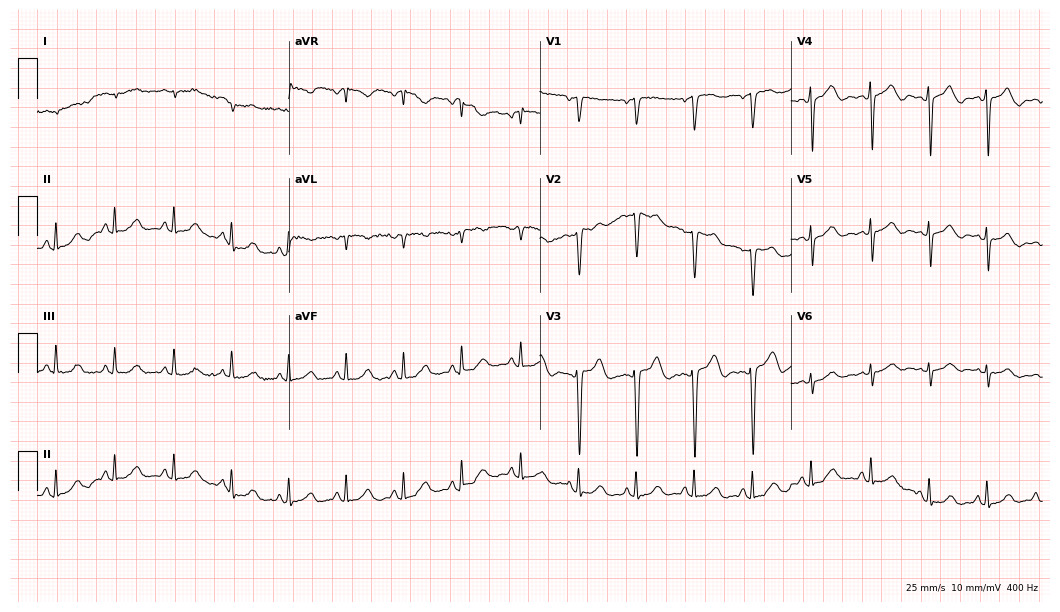
12-lead ECG from a female patient, 50 years old. No first-degree AV block, right bundle branch block, left bundle branch block, sinus bradycardia, atrial fibrillation or sinus tachycardia recorded for this tracing. Other findings, if any, are not listed.